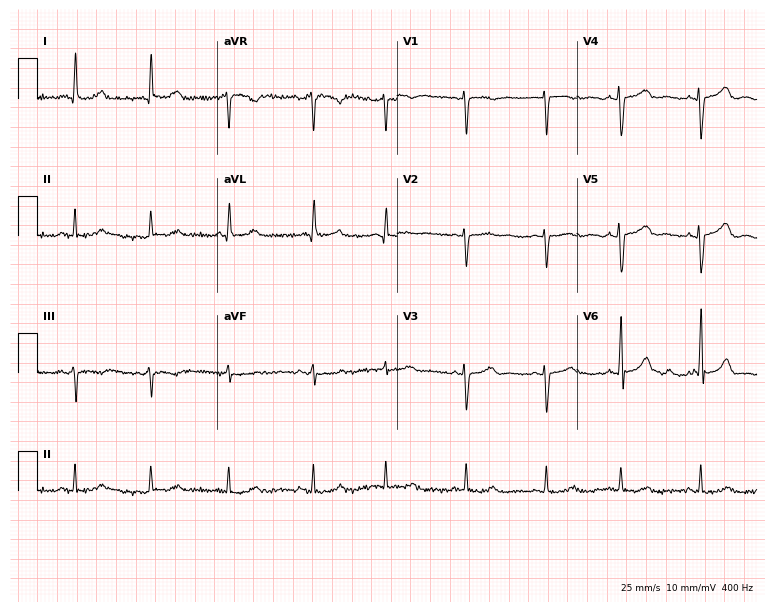
12-lead ECG from a female patient, 52 years old. No first-degree AV block, right bundle branch block (RBBB), left bundle branch block (LBBB), sinus bradycardia, atrial fibrillation (AF) or sinus tachycardia recorded for this tracing.